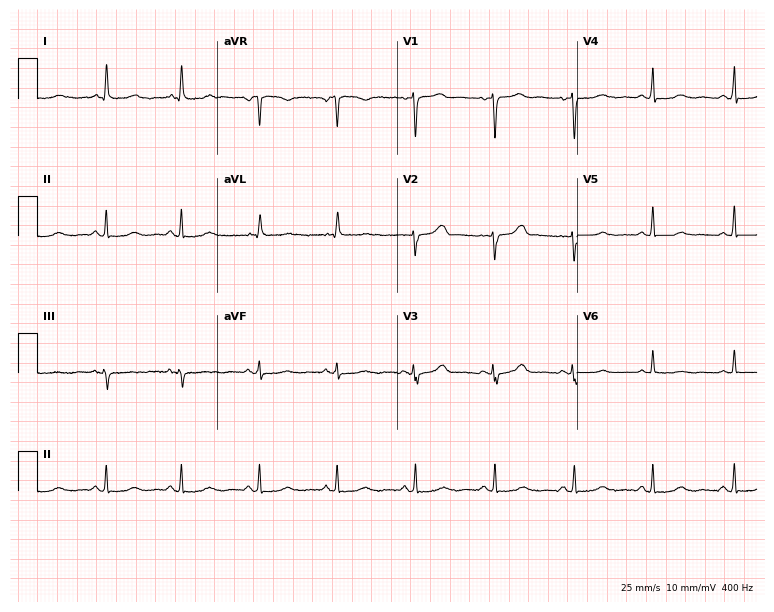
ECG (7.3-second recording at 400 Hz) — a female patient, 51 years old. Labelled as a normal ECG.